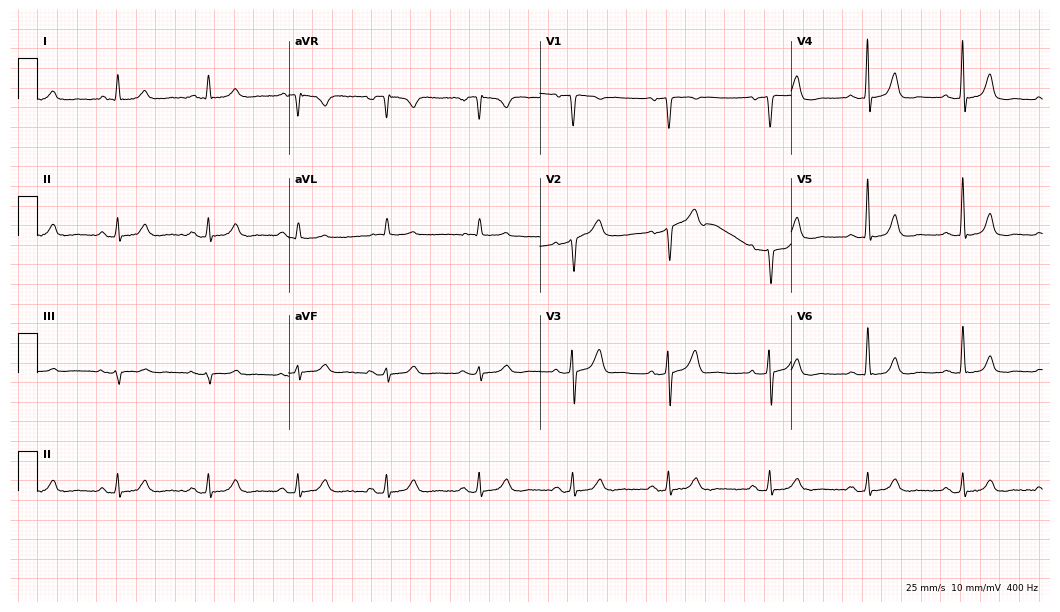
ECG (10.2-second recording at 400 Hz) — a 67-year-old male. Labelled as a normal ECG.